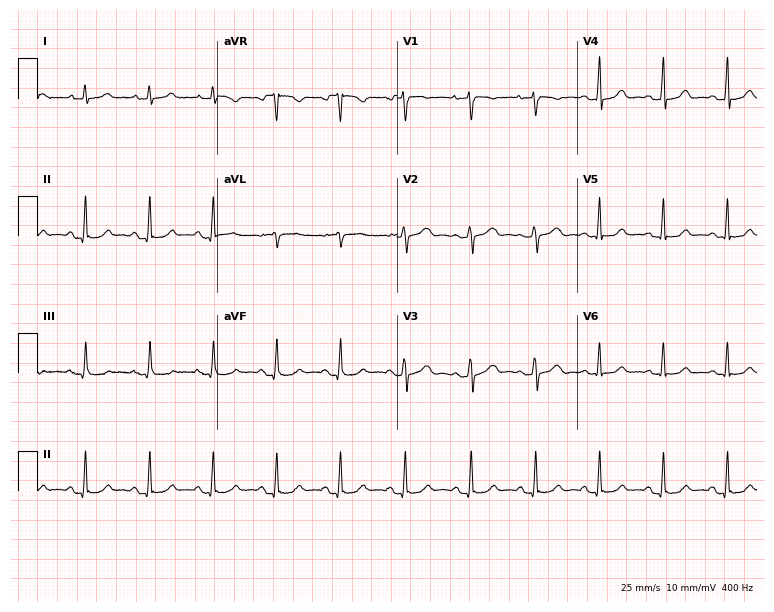
12-lead ECG from a 49-year-old female. Recorded interpretation: within normal limits.